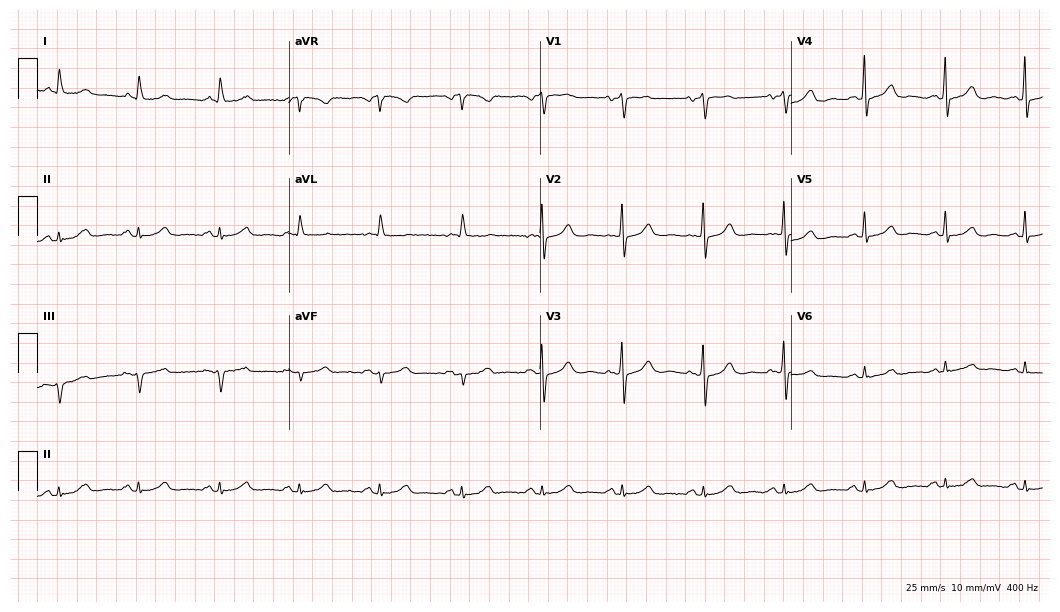
Standard 12-lead ECG recorded from a woman, 84 years old. Read as a normal ECG.